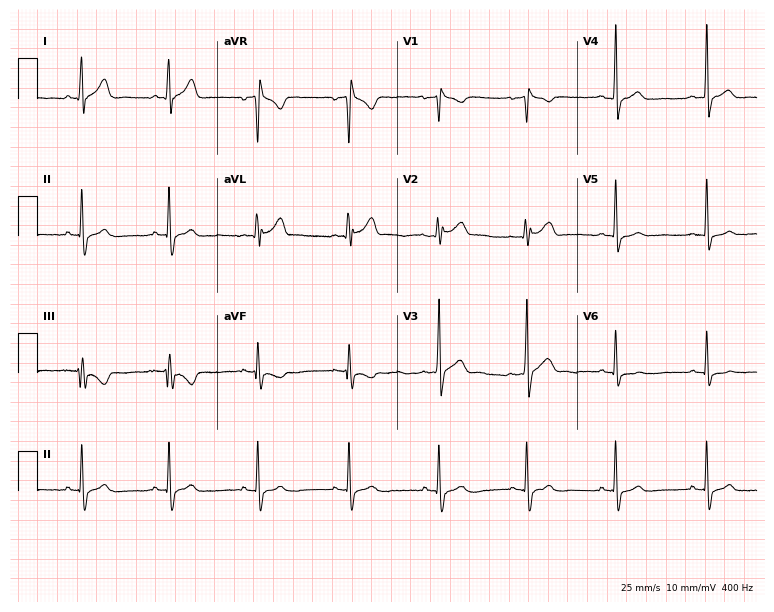
12-lead ECG from a 32-year-old male patient. No first-degree AV block, right bundle branch block, left bundle branch block, sinus bradycardia, atrial fibrillation or sinus tachycardia recorded for this tracing. Findings outside these six are not listed.